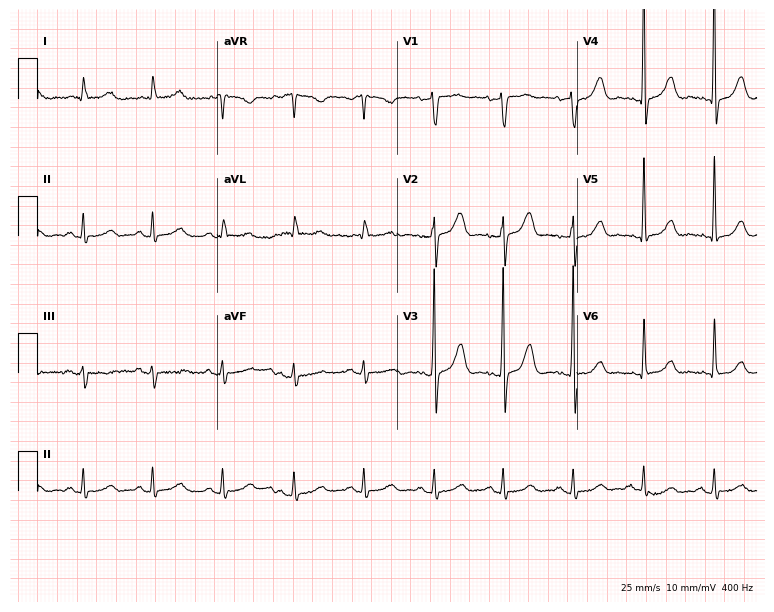
Standard 12-lead ECG recorded from a 54-year-old female. Read as a normal ECG.